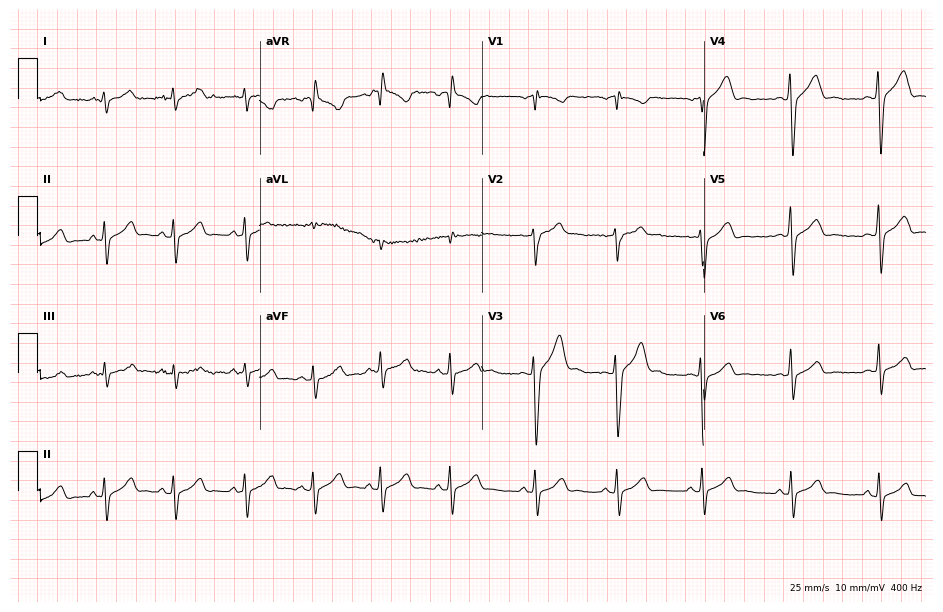
12-lead ECG from a woman, 20 years old (9.1-second recording at 400 Hz). No first-degree AV block, right bundle branch block, left bundle branch block, sinus bradycardia, atrial fibrillation or sinus tachycardia recorded for this tracing. Only these six findings were labelled.